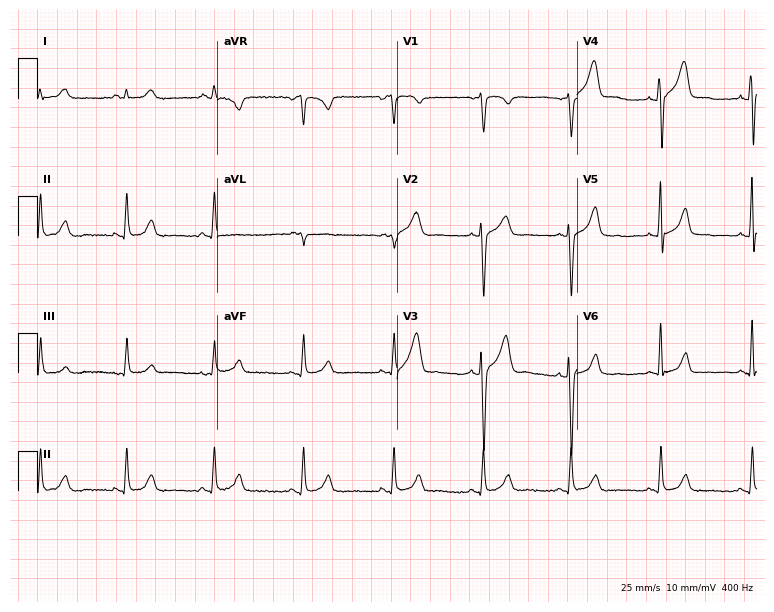
Standard 12-lead ECG recorded from a 47-year-old man. None of these six findings is recorded: first-degree AV block, right bundle branch block, left bundle branch block, sinus bradycardia, atrial fibrillation, sinus tachycardia.